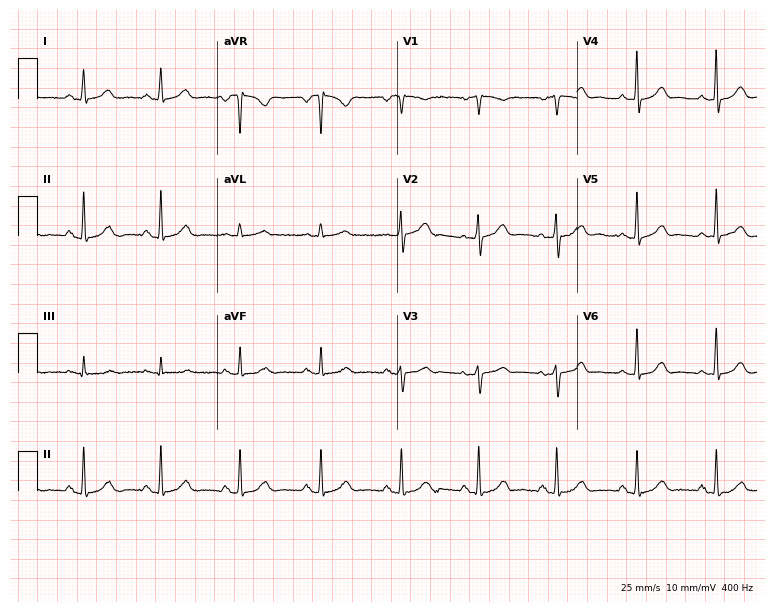
Resting 12-lead electrocardiogram. Patient: a 49-year-old female. Read as a normal ECG.